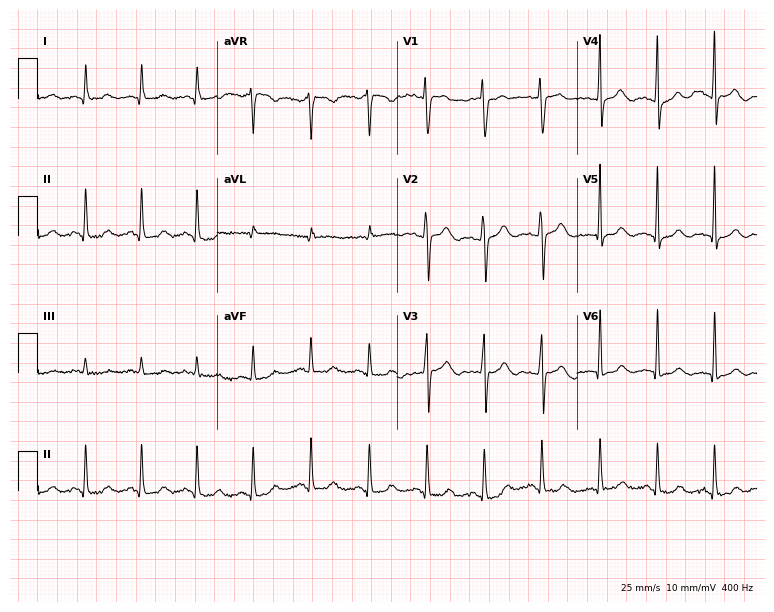
Standard 12-lead ECG recorded from a woman, 50 years old. None of these six findings is recorded: first-degree AV block, right bundle branch block, left bundle branch block, sinus bradycardia, atrial fibrillation, sinus tachycardia.